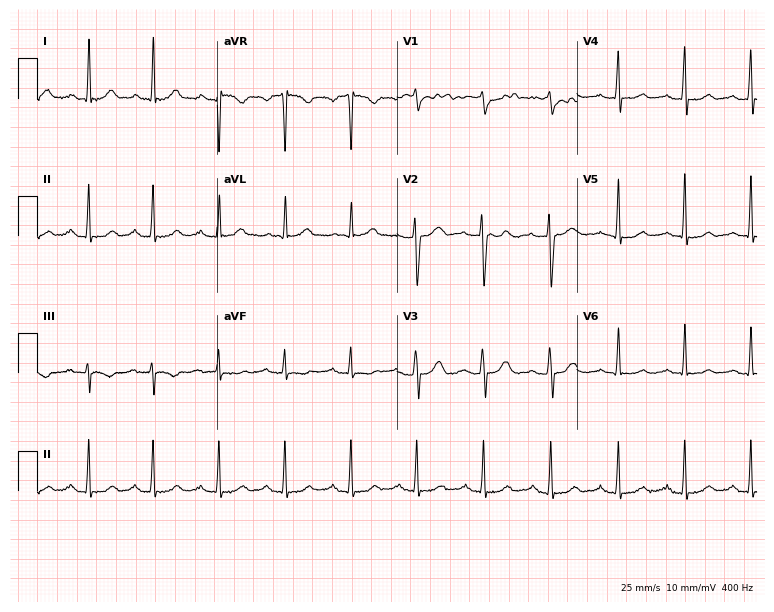
Standard 12-lead ECG recorded from a woman, 43 years old. None of these six findings is recorded: first-degree AV block, right bundle branch block, left bundle branch block, sinus bradycardia, atrial fibrillation, sinus tachycardia. Only these six findings were labelled.